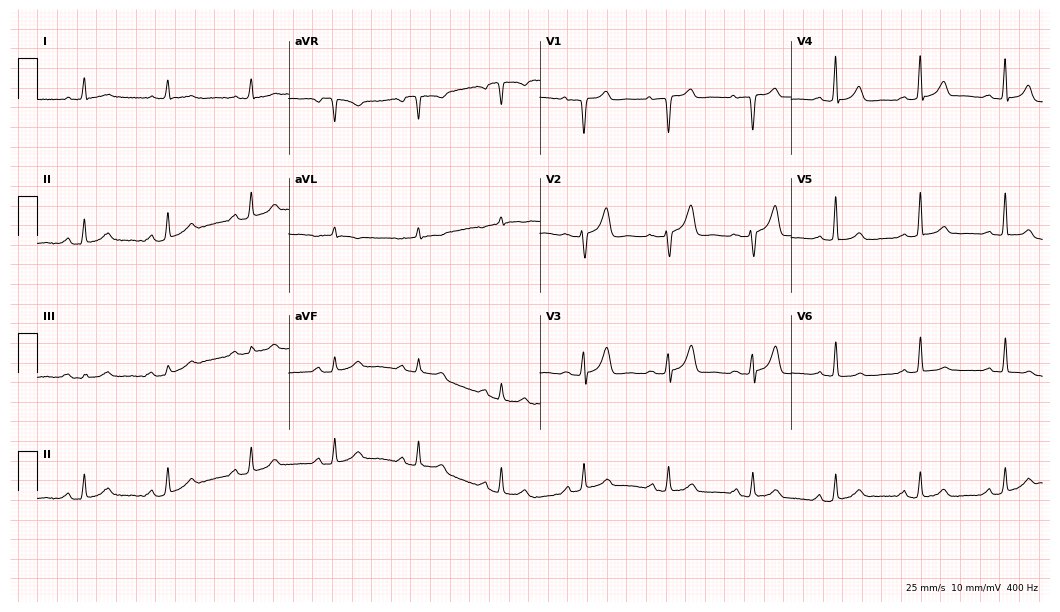
12-lead ECG from a 61-year-old female patient (10.2-second recording at 400 Hz). Recorded interpretation: within normal limits.